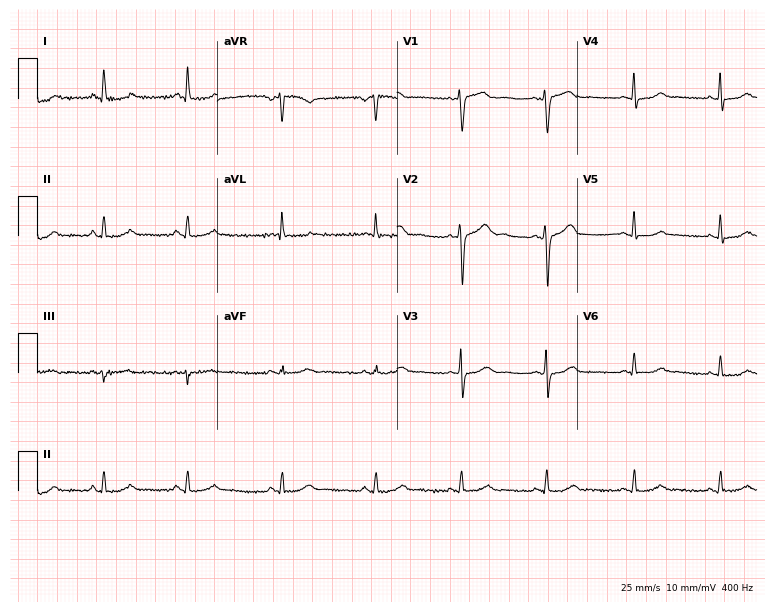
Electrocardiogram, a female, 60 years old. Overall reading on record: normal ECG.